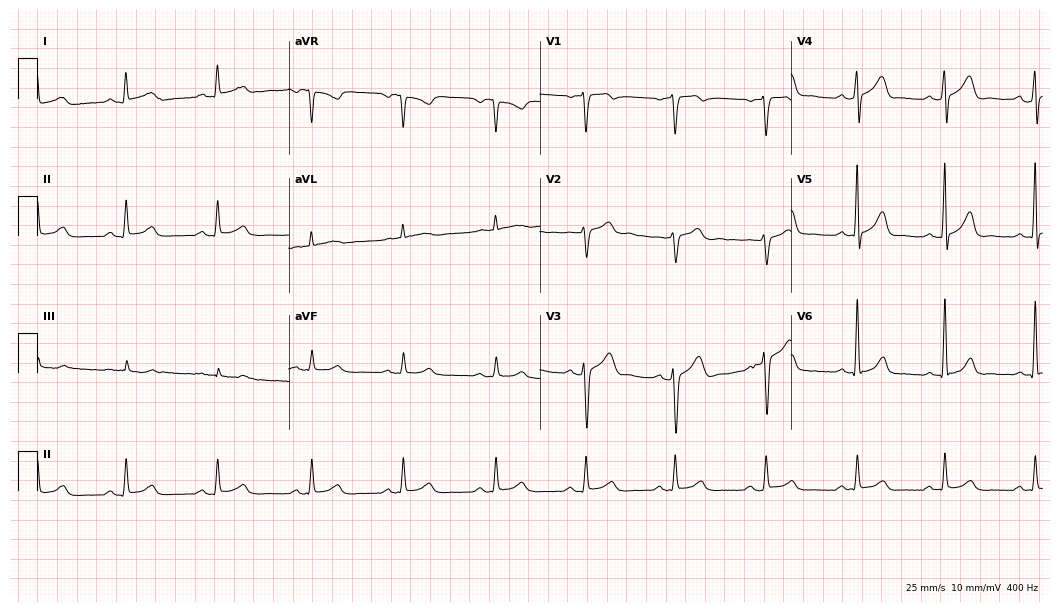
ECG (10.2-second recording at 400 Hz) — a male patient, 56 years old. Labelled as a normal ECG.